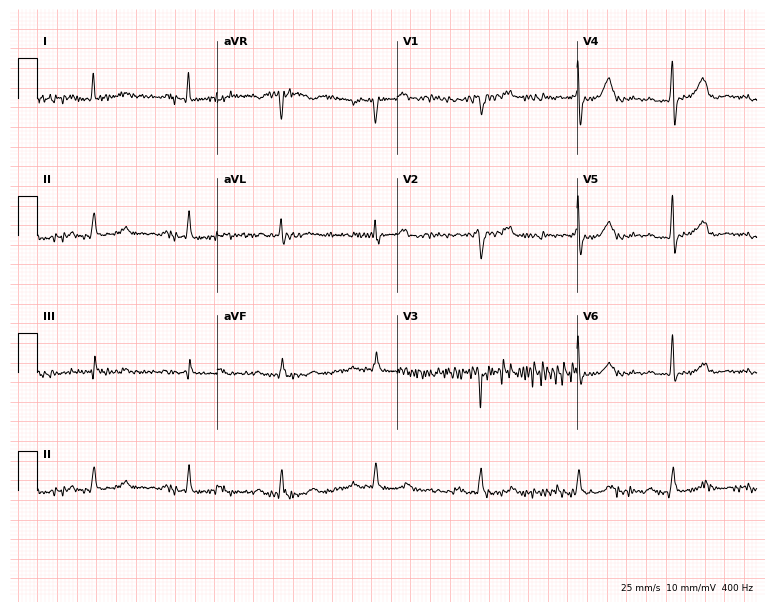
ECG — a 71-year-old female. Findings include first-degree AV block.